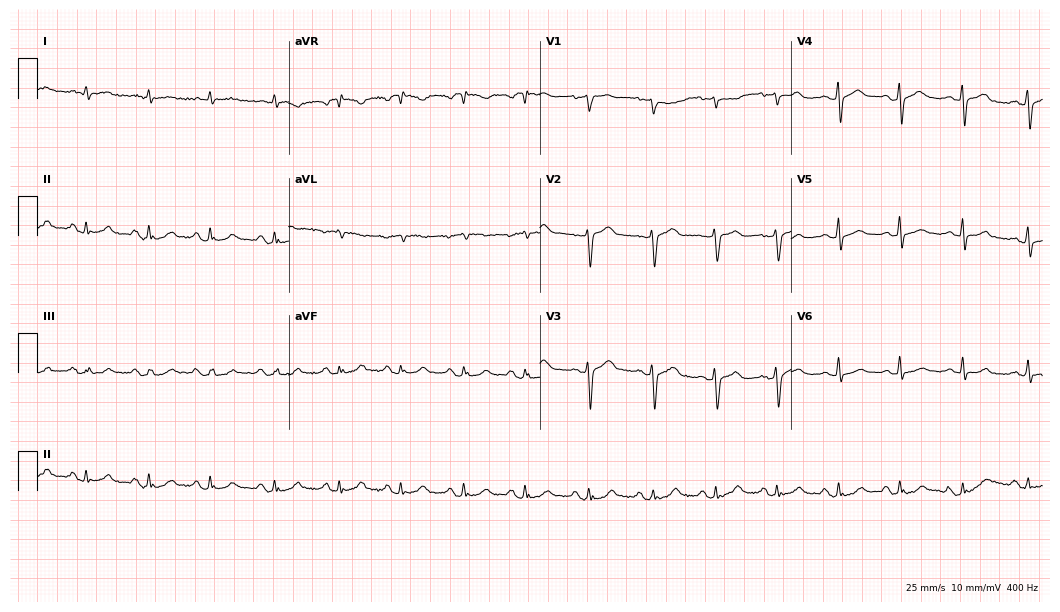
Standard 12-lead ECG recorded from a man, 79 years old. Read as a normal ECG.